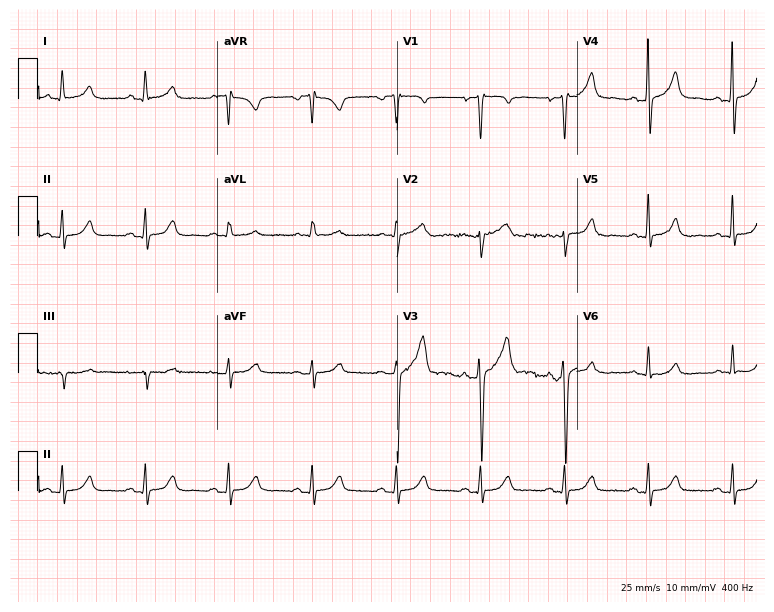
Electrocardiogram, a 59-year-old man. Overall reading on record: normal ECG.